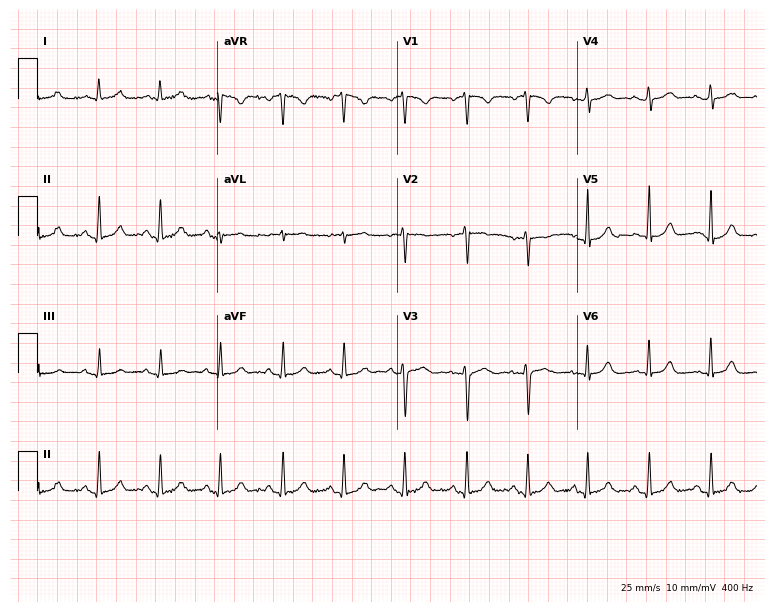
12-lead ECG from a female, 48 years old. Labelled as a normal ECG.